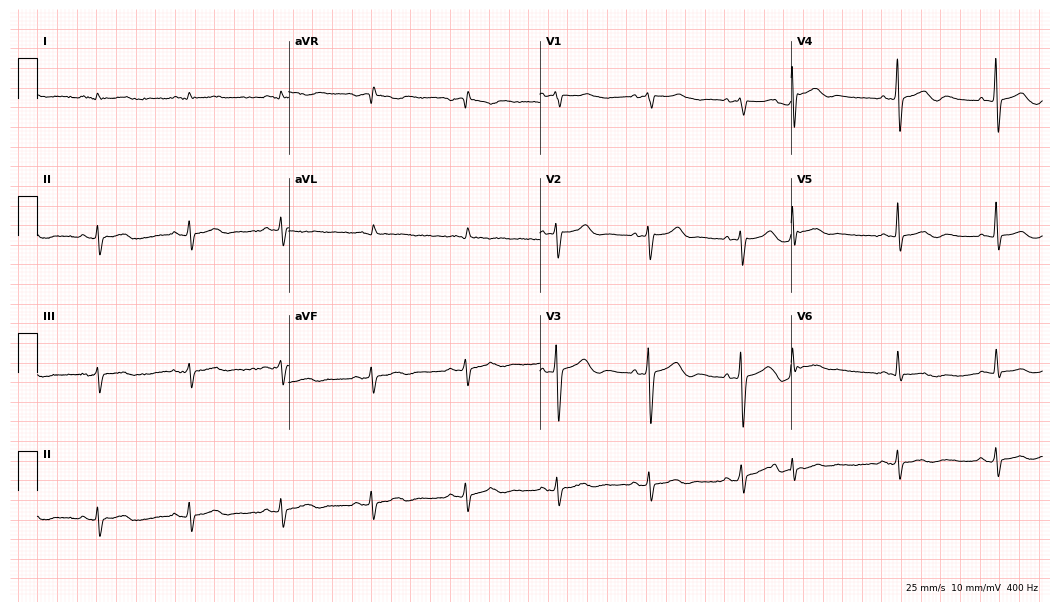
ECG (10.2-second recording at 400 Hz) — a 61-year-old man. Screened for six findings — first-degree AV block, right bundle branch block, left bundle branch block, sinus bradycardia, atrial fibrillation, sinus tachycardia — none is recorded.